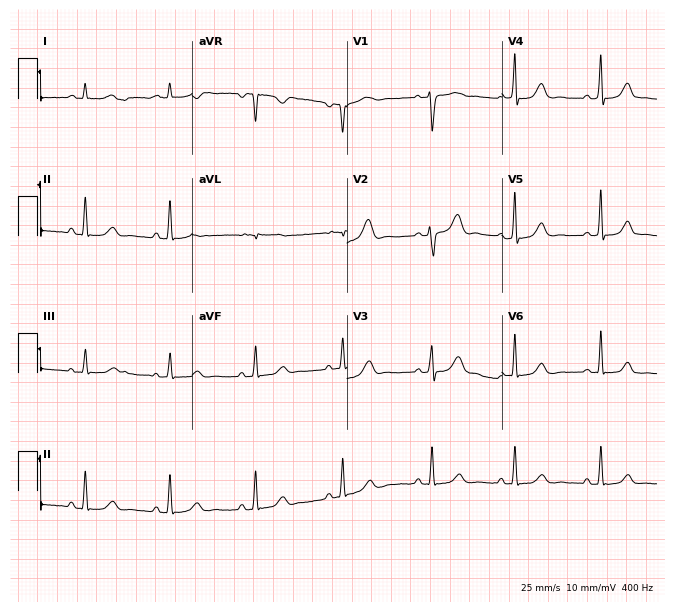
12-lead ECG from a female, 39 years old. Recorded interpretation: within normal limits.